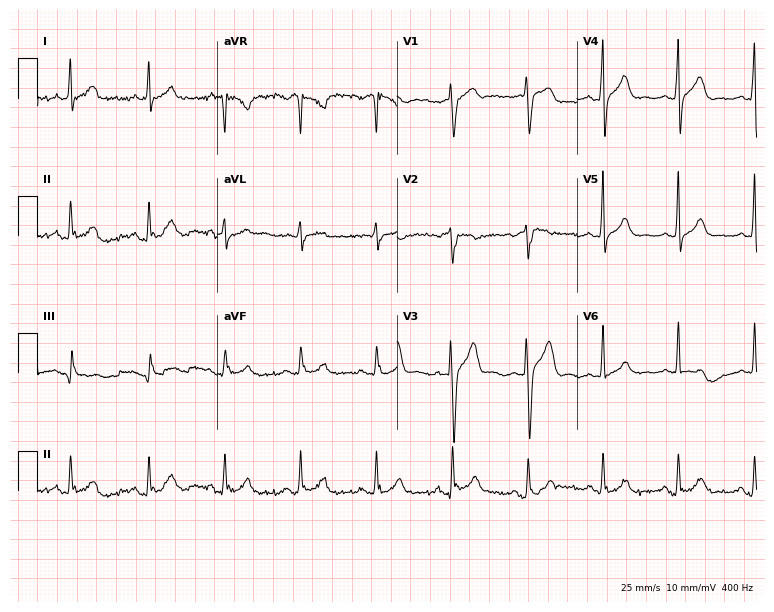
ECG — a 53-year-old male. Labelled as a normal ECG.